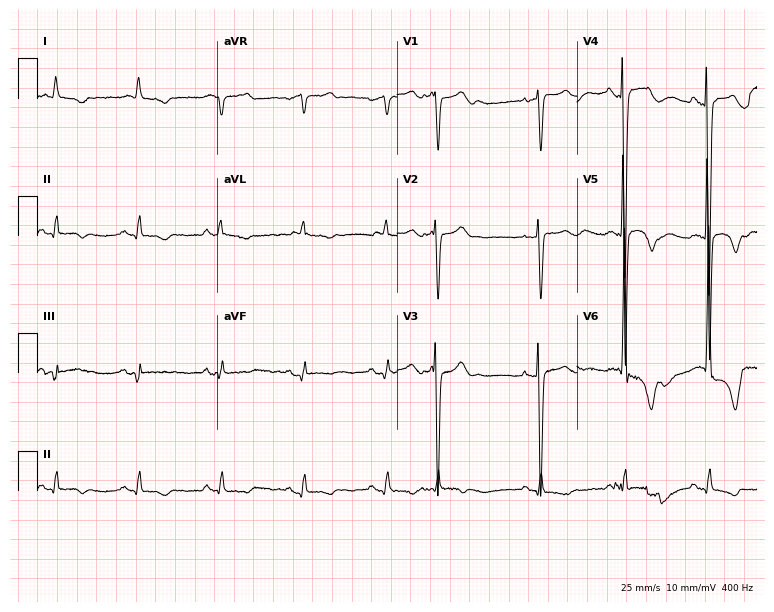
Resting 12-lead electrocardiogram. Patient: a 74-year-old woman. None of these six findings is recorded: first-degree AV block, right bundle branch block, left bundle branch block, sinus bradycardia, atrial fibrillation, sinus tachycardia.